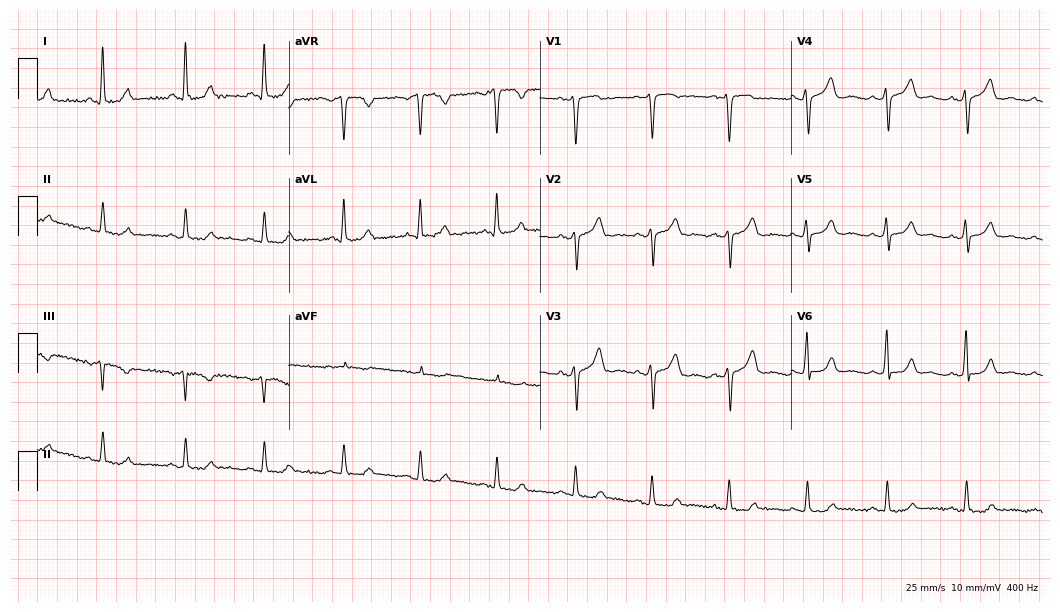
Standard 12-lead ECG recorded from a female patient, 37 years old (10.2-second recording at 400 Hz). Read as a normal ECG.